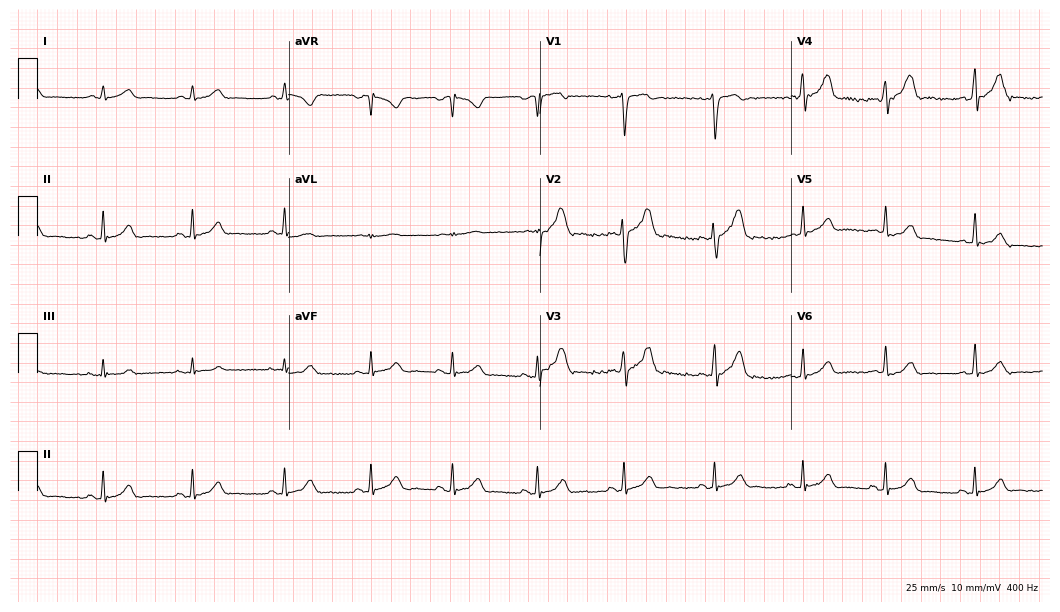
Electrocardiogram (10.2-second recording at 400 Hz), a 30-year-old man. Overall reading on record: normal ECG.